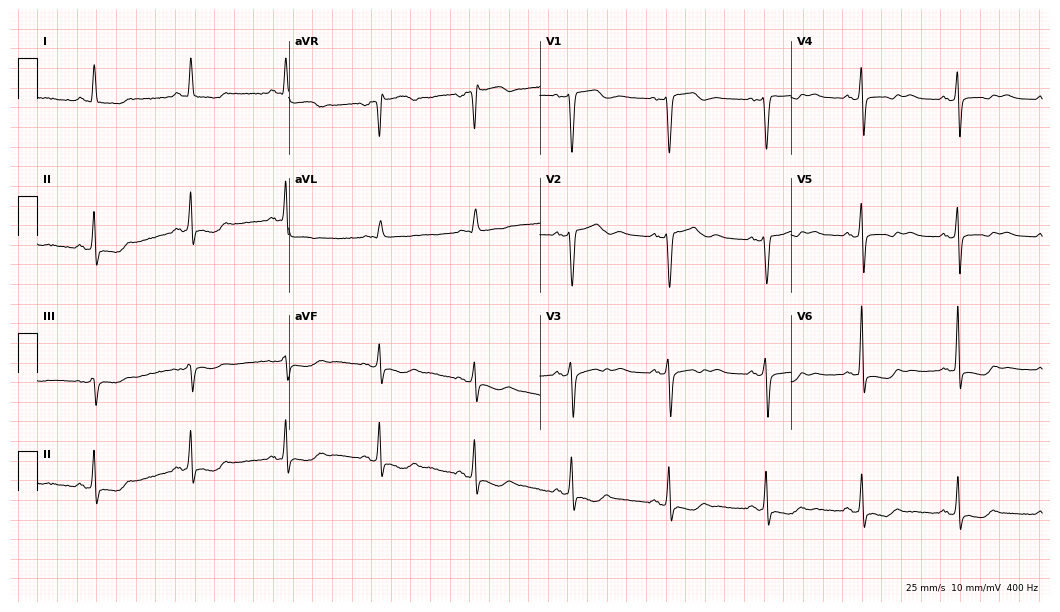
12-lead ECG from a female patient, 54 years old. Screened for six findings — first-degree AV block, right bundle branch block, left bundle branch block, sinus bradycardia, atrial fibrillation, sinus tachycardia — none is recorded. Only these six findings were labelled.